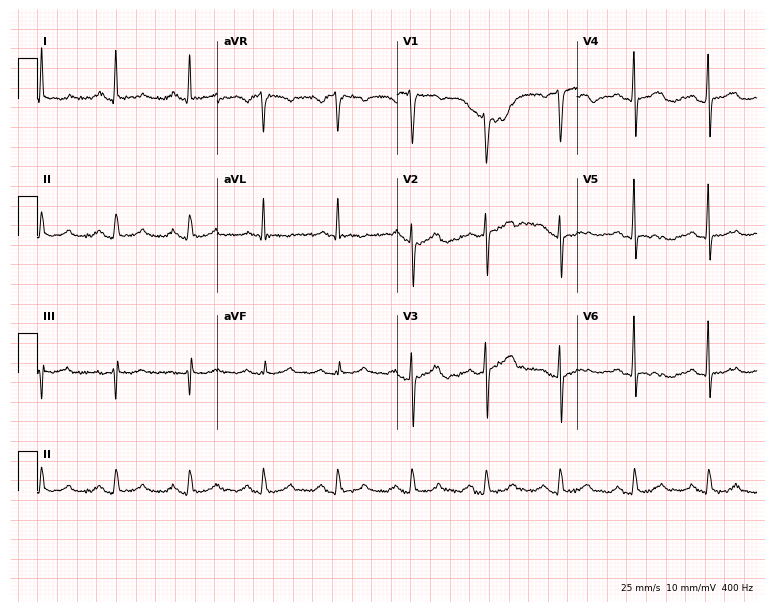
12-lead ECG from a male patient, 53 years old. No first-degree AV block, right bundle branch block (RBBB), left bundle branch block (LBBB), sinus bradycardia, atrial fibrillation (AF) or sinus tachycardia recorded for this tracing.